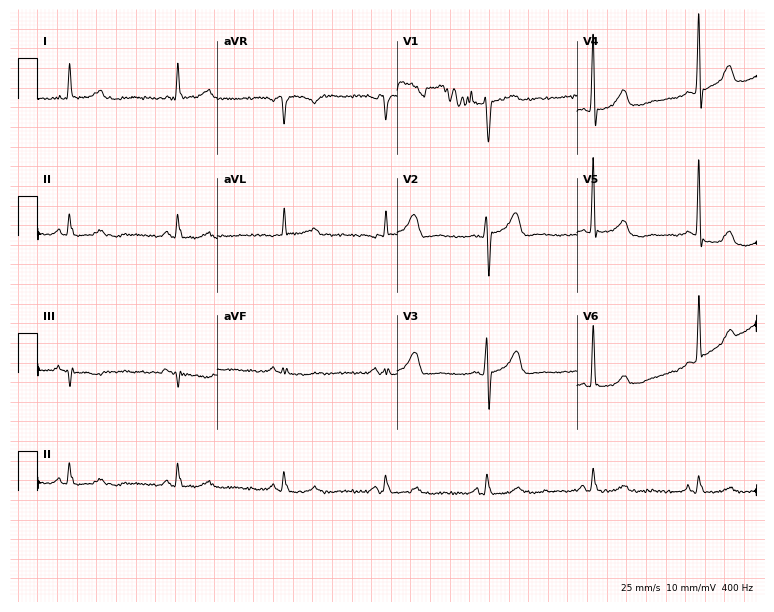
12-lead ECG from a man, 78 years old. No first-degree AV block, right bundle branch block (RBBB), left bundle branch block (LBBB), sinus bradycardia, atrial fibrillation (AF) or sinus tachycardia recorded for this tracing.